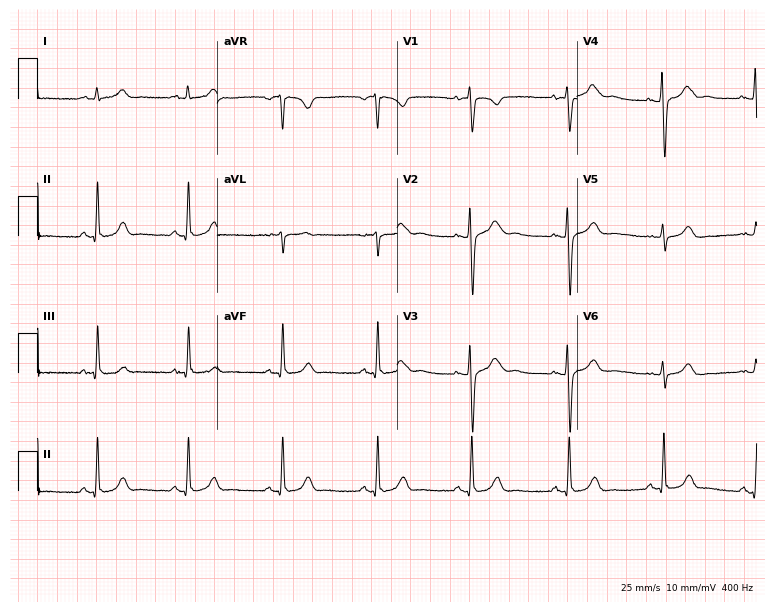
Standard 12-lead ECG recorded from a 31-year-old female (7.3-second recording at 400 Hz). None of these six findings is recorded: first-degree AV block, right bundle branch block (RBBB), left bundle branch block (LBBB), sinus bradycardia, atrial fibrillation (AF), sinus tachycardia.